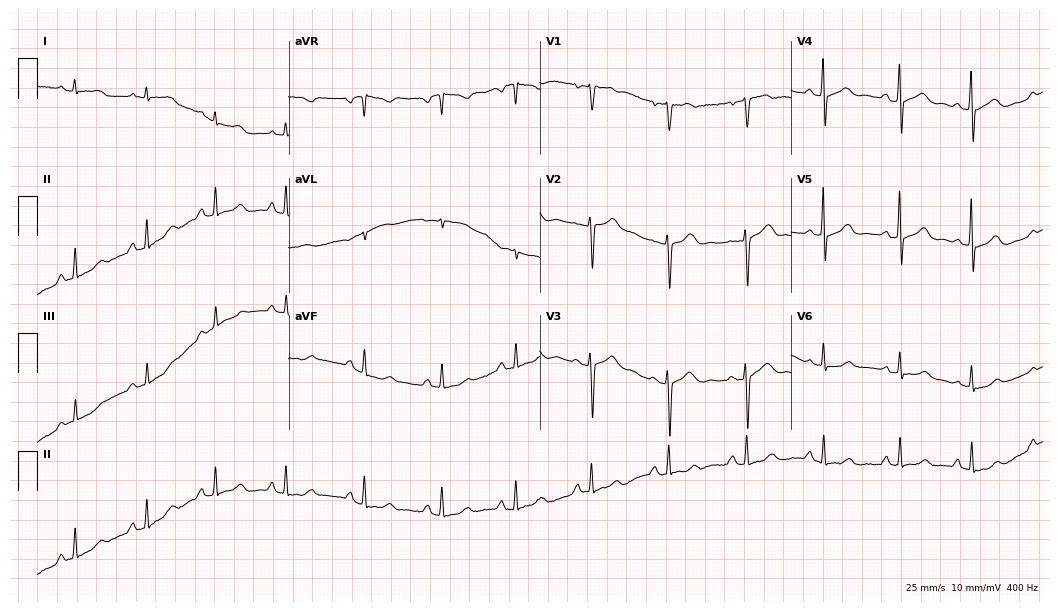
Resting 12-lead electrocardiogram (10.2-second recording at 400 Hz). Patient: a woman, 46 years old. None of these six findings is recorded: first-degree AV block, right bundle branch block, left bundle branch block, sinus bradycardia, atrial fibrillation, sinus tachycardia.